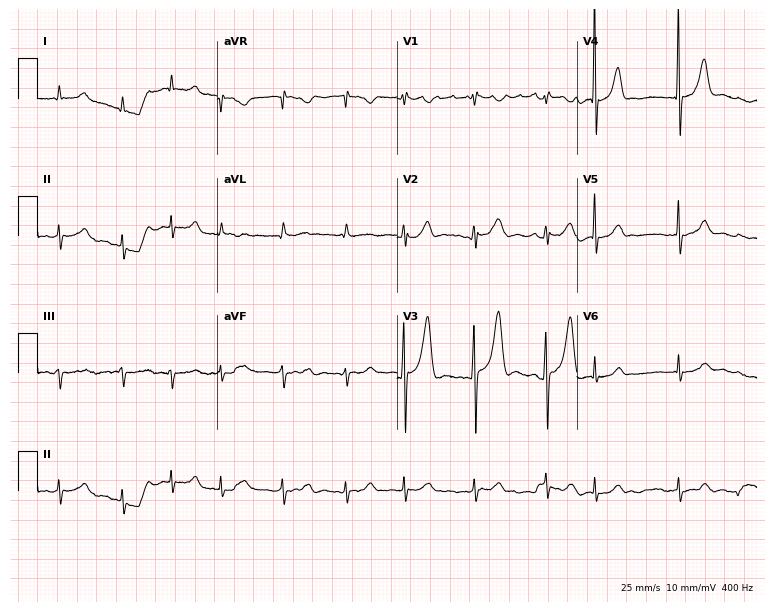
Standard 12-lead ECG recorded from a male patient, 83 years old. The tracing shows atrial fibrillation.